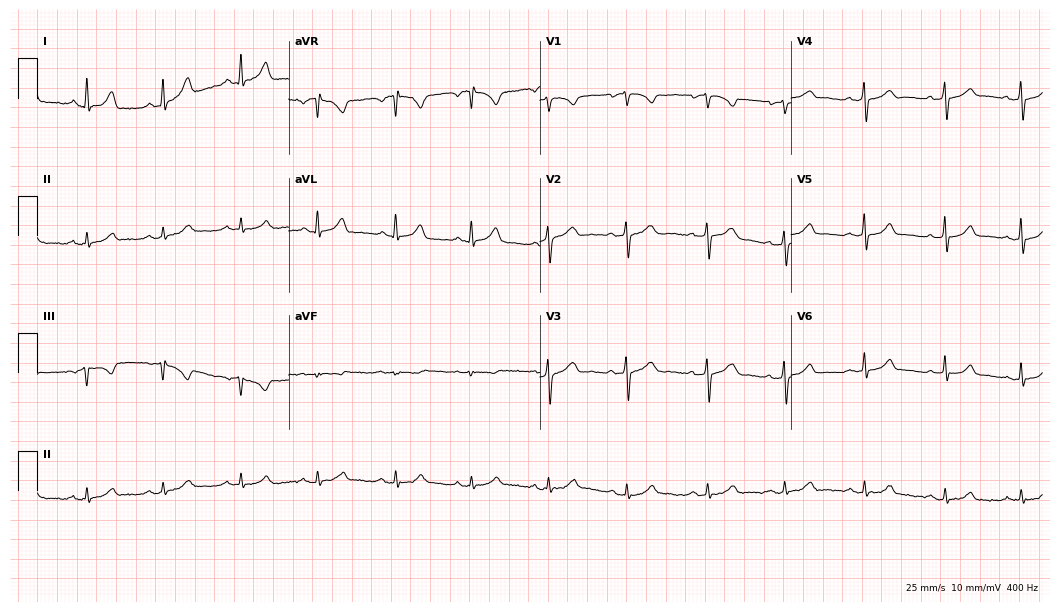
12-lead ECG from a 31-year-old woman. Labelled as a normal ECG.